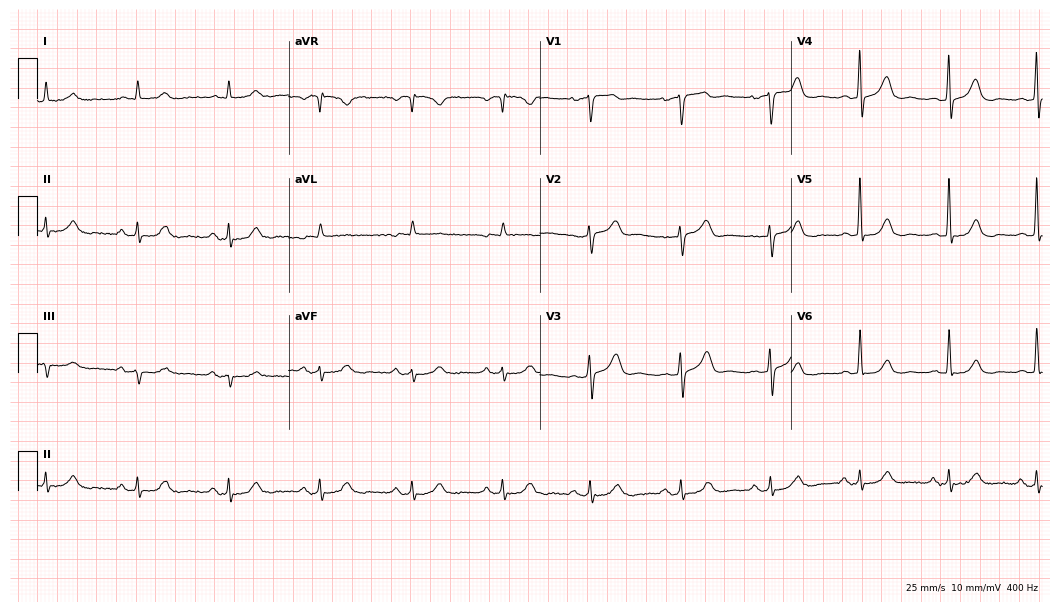
Standard 12-lead ECG recorded from a male, 78 years old. None of these six findings is recorded: first-degree AV block, right bundle branch block, left bundle branch block, sinus bradycardia, atrial fibrillation, sinus tachycardia. Other findings, if any, are not listed.